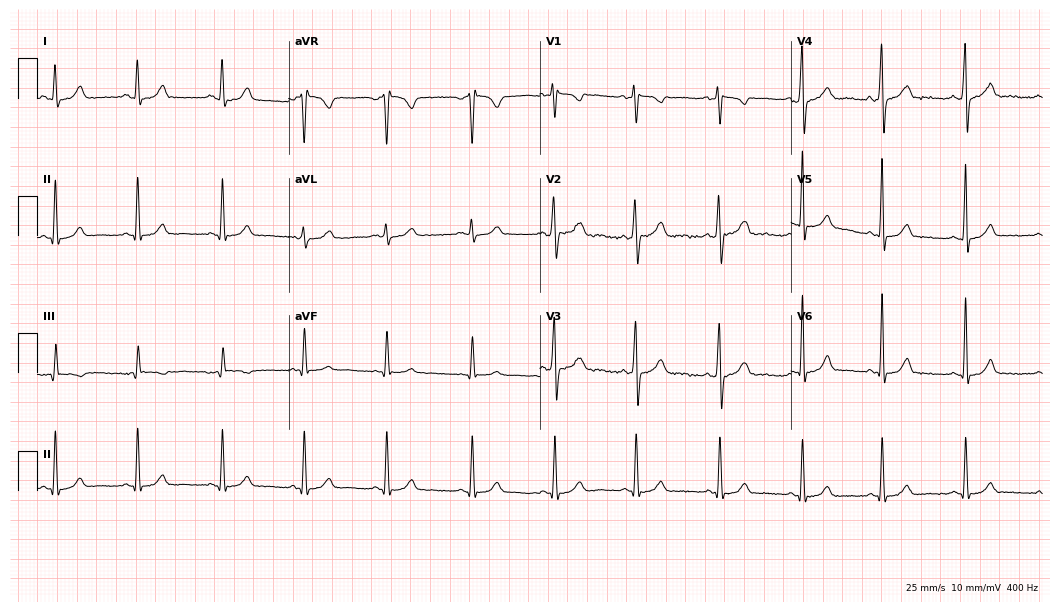
12-lead ECG from a woman, 25 years old. Labelled as a normal ECG.